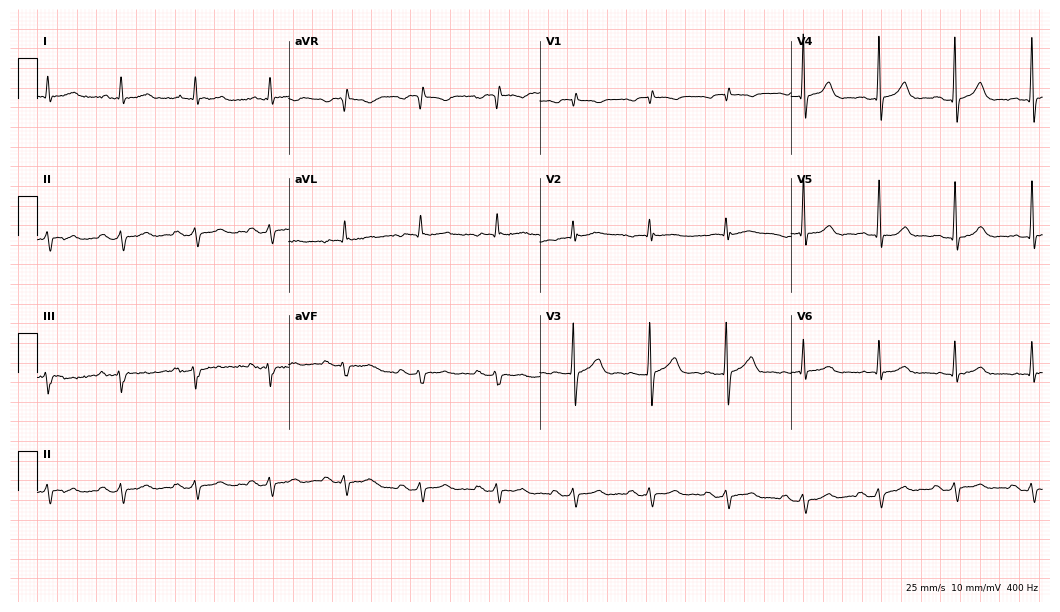
12-lead ECG from a 70-year-old man. No first-degree AV block, right bundle branch block, left bundle branch block, sinus bradycardia, atrial fibrillation or sinus tachycardia recorded for this tracing.